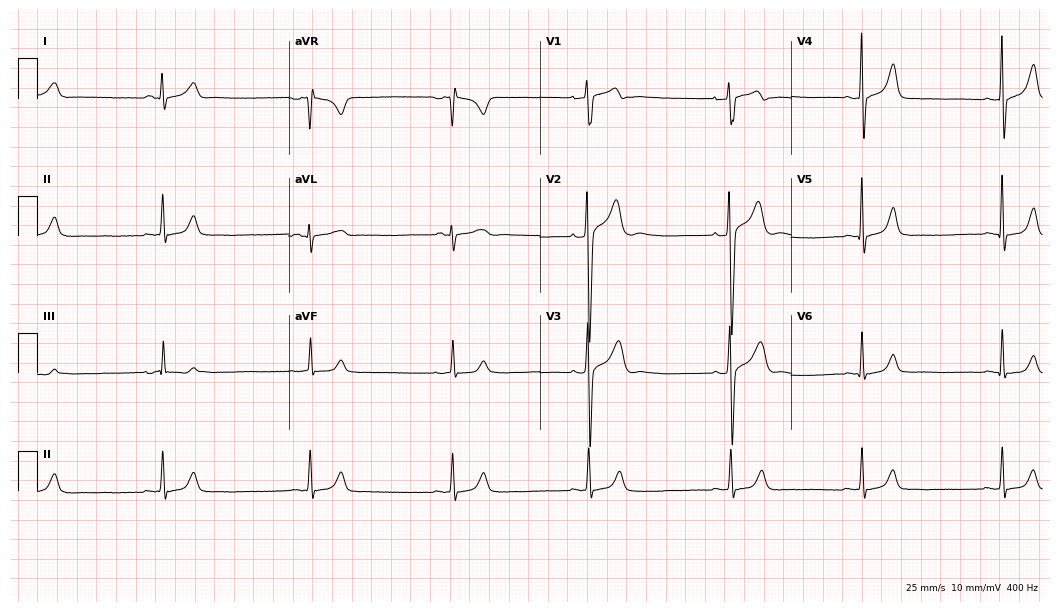
12-lead ECG from a male patient, 29 years old. Findings include sinus bradycardia (a sinus rate of 50 beats per minute or less).